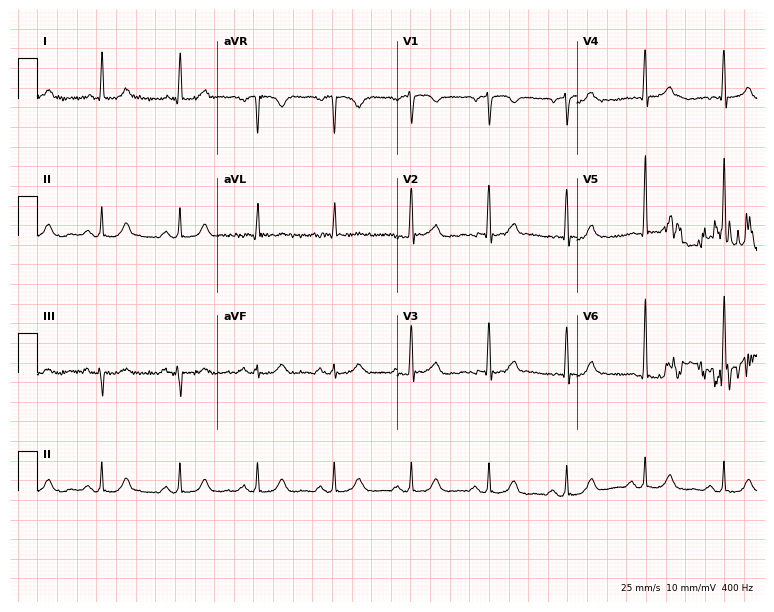
ECG (7.3-second recording at 400 Hz) — a 72-year-old female patient. Screened for six findings — first-degree AV block, right bundle branch block (RBBB), left bundle branch block (LBBB), sinus bradycardia, atrial fibrillation (AF), sinus tachycardia — none is recorded. Findings outside these six are not listed.